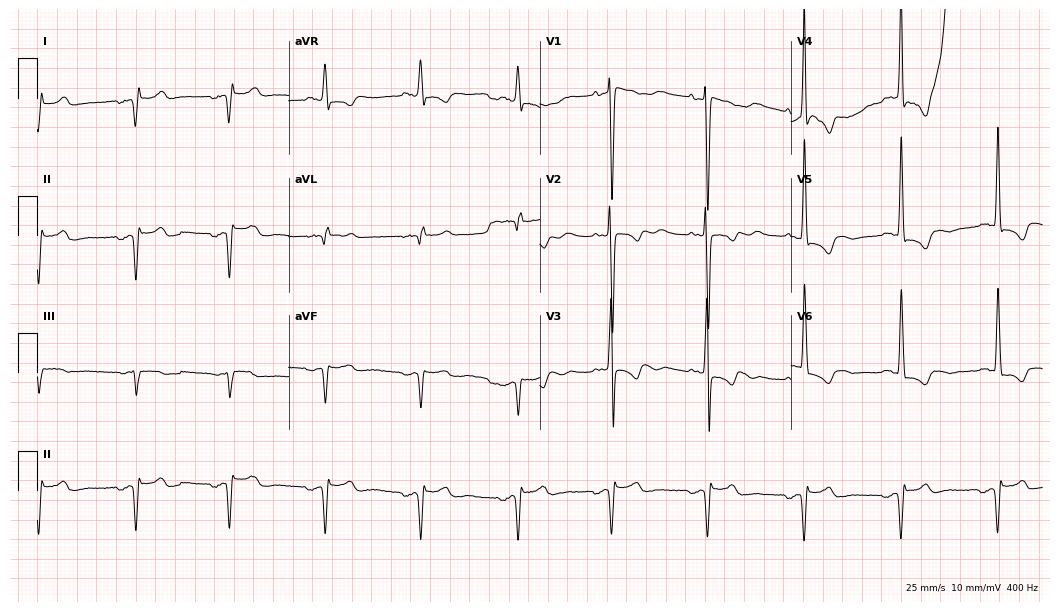
Resting 12-lead electrocardiogram (10.2-second recording at 400 Hz). Patient: an 85-year-old female. None of these six findings is recorded: first-degree AV block, right bundle branch block, left bundle branch block, sinus bradycardia, atrial fibrillation, sinus tachycardia.